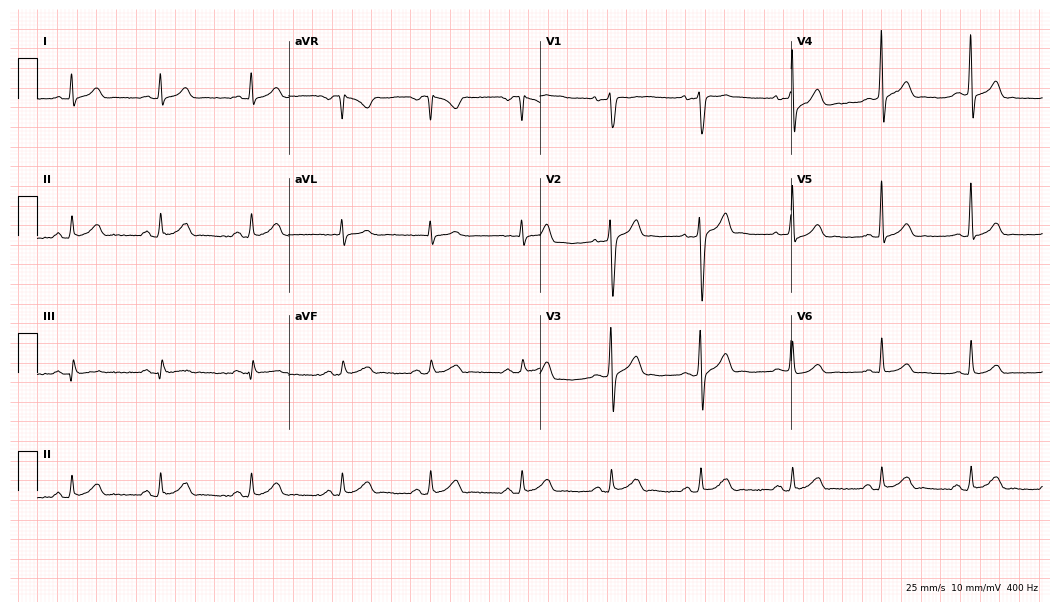
Resting 12-lead electrocardiogram (10.2-second recording at 400 Hz). Patient: a 37-year-old male. Read as a normal ECG.